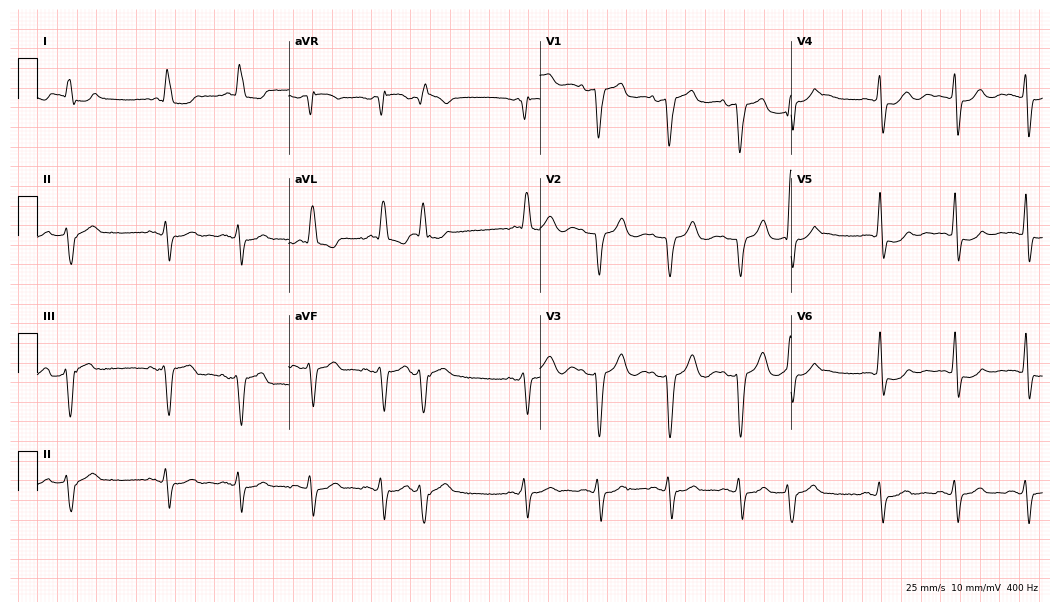
12-lead ECG from an 81-year-old female patient. Shows left bundle branch block.